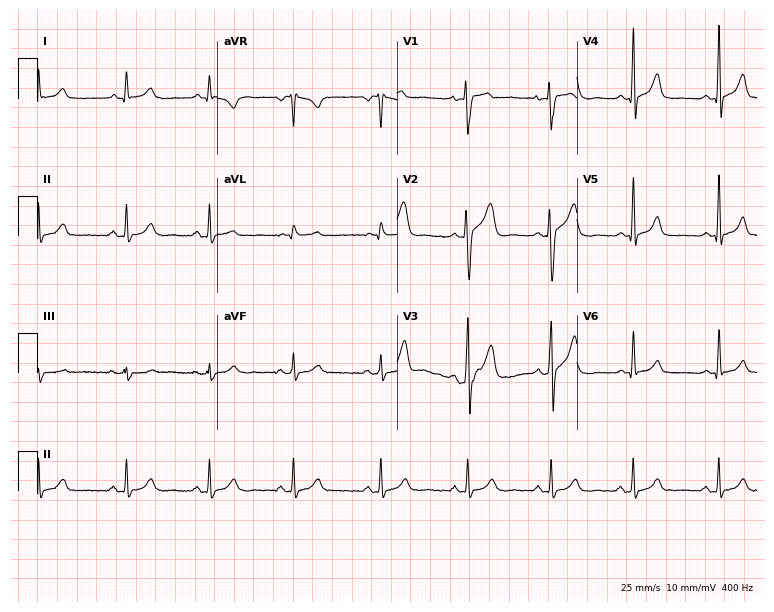
ECG (7.3-second recording at 400 Hz) — a 29-year-old male patient. Screened for six findings — first-degree AV block, right bundle branch block, left bundle branch block, sinus bradycardia, atrial fibrillation, sinus tachycardia — none is recorded.